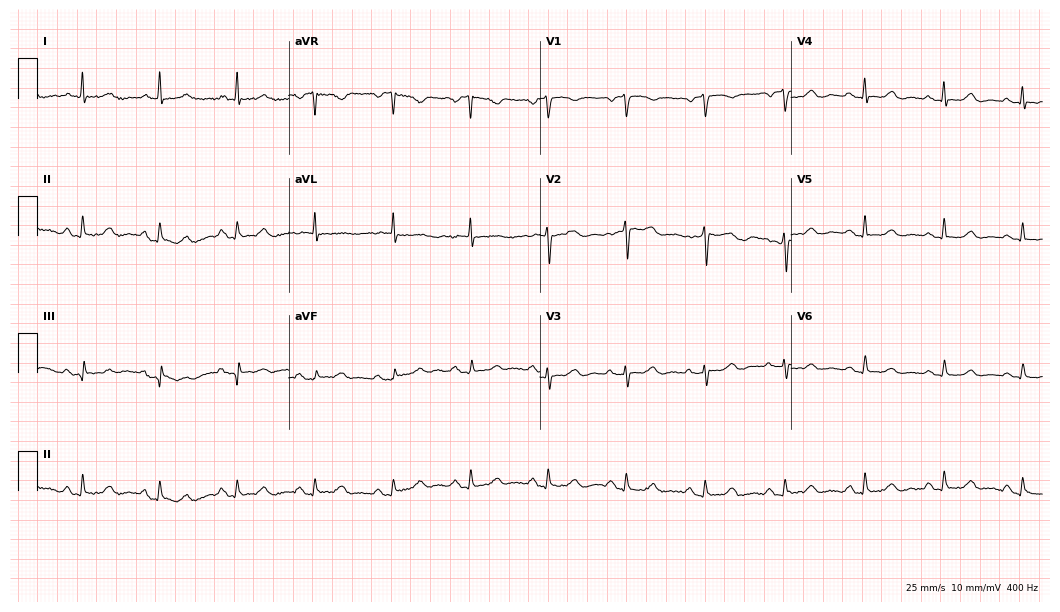
ECG (10.2-second recording at 400 Hz) — an 82-year-old woman. Labelled as a normal ECG.